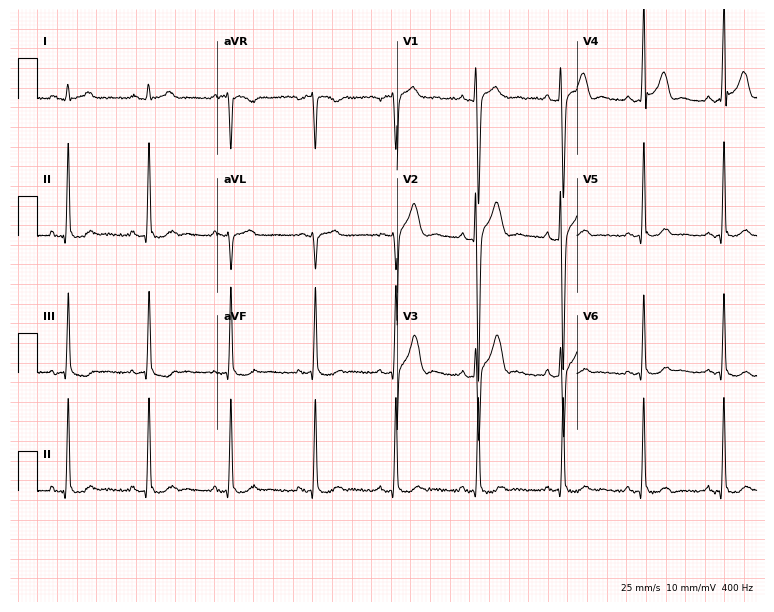
12-lead ECG from a man, 22 years old. Labelled as a normal ECG.